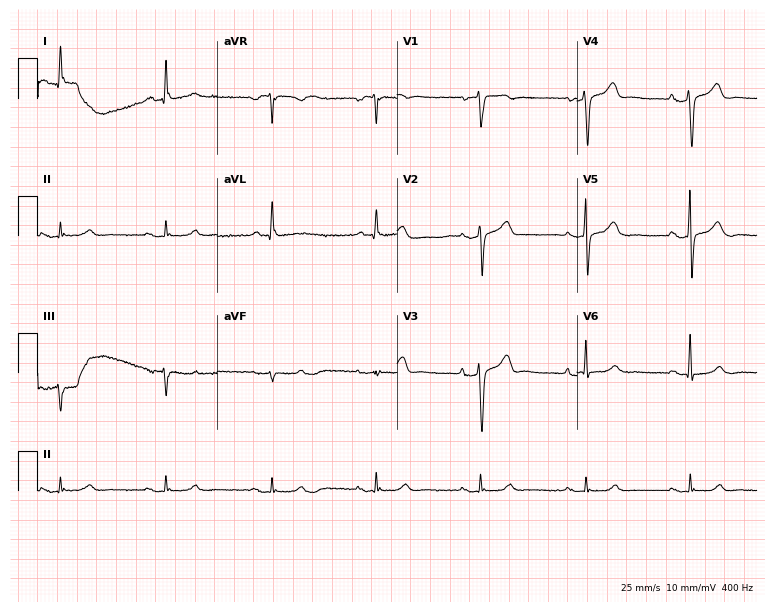
Electrocardiogram (7.3-second recording at 400 Hz), an 85-year-old man. Overall reading on record: normal ECG.